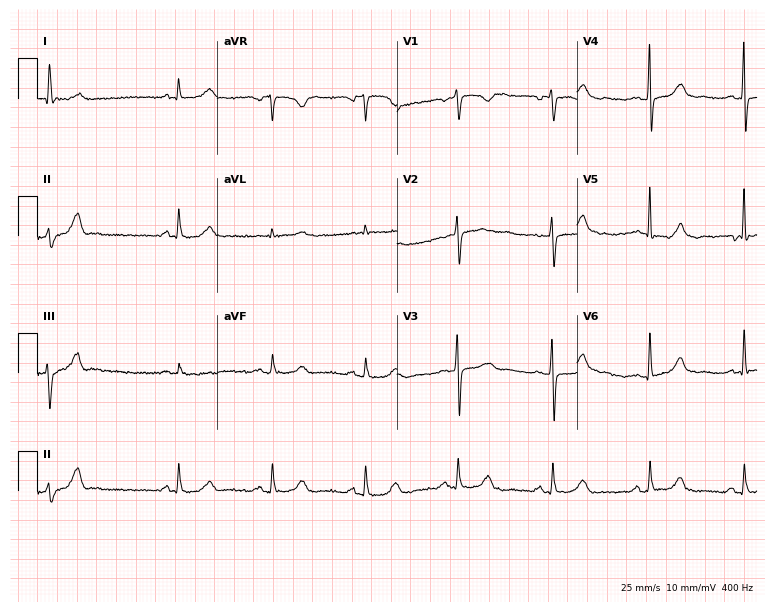
Resting 12-lead electrocardiogram (7.3-second recording at 400 Hz). Patient: a 65-year-old female. None of these six findings is recorded: first-degree AV block, right bundle branch block, left bundle branch block, sinus bradycardia, atrial fibrillation, sinus tachycardia.